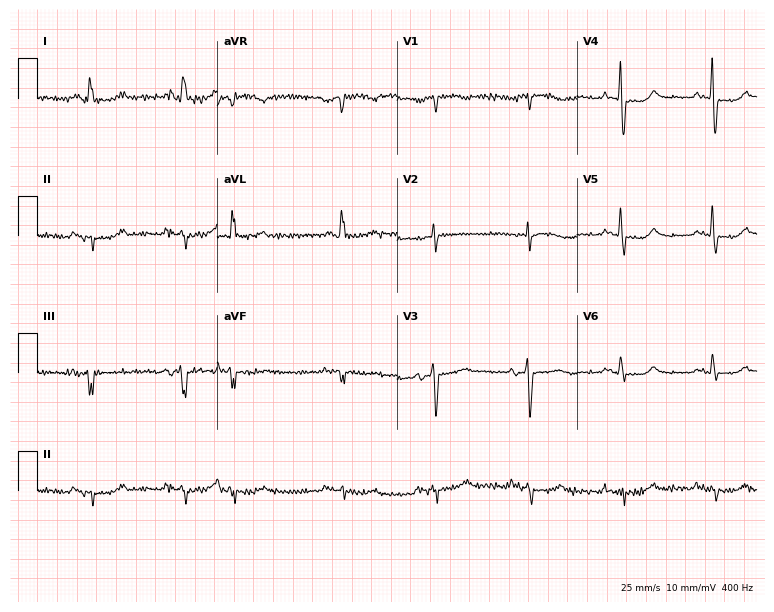
ECG (7.3-second recording at 400 Hz) — a female, 72 years old. Screened for six findings — first-degree AV block, right bundle branch block (RBBB), left bundle branch block (LBBB), sinus bradycardia, atrial fibrillation (AF), sinus tachycardia — none is recorded.